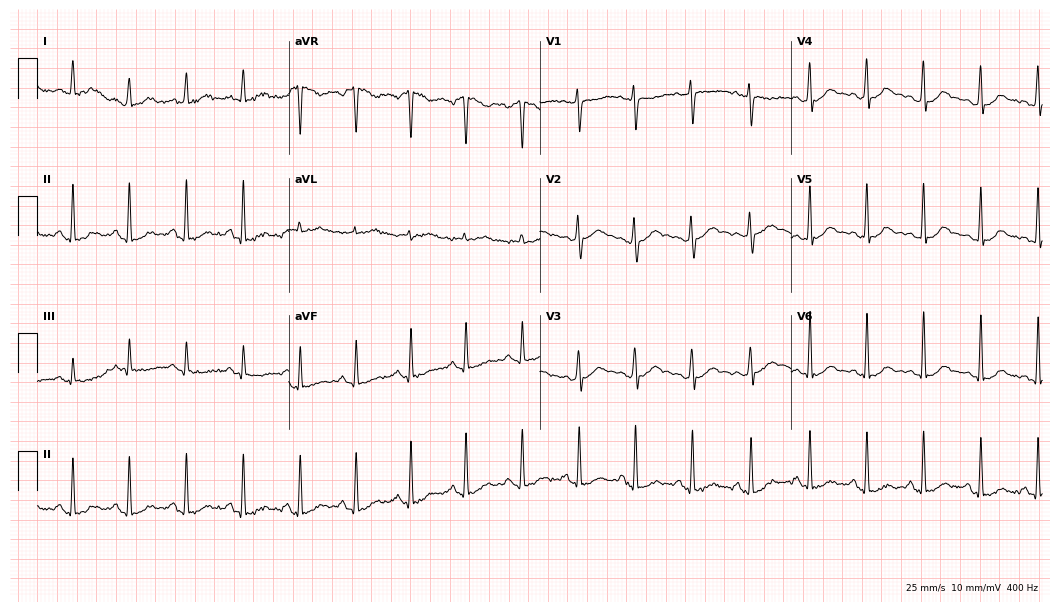
Electrocardiogram (10.2-second recording at 400 Hz), a female, 29 years old. Interpretation includes sinus tachycardia (a sinus rate of 100 beats per minute or more).